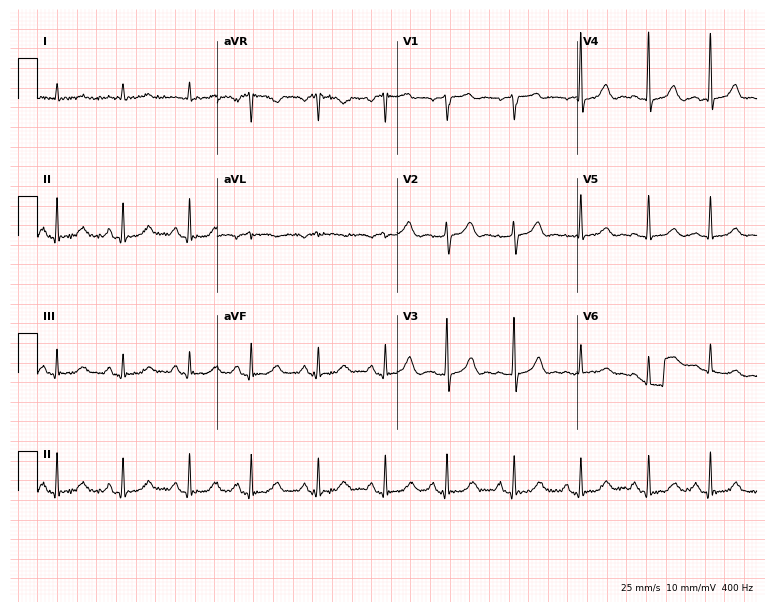
12-lead ECG from a 77-year-old male. No first-degree AV block, right bundle branch block, left bundle branch block, sinus bradycardia, atrial fibrillation or sinus tachycardia recorded for this tracing.